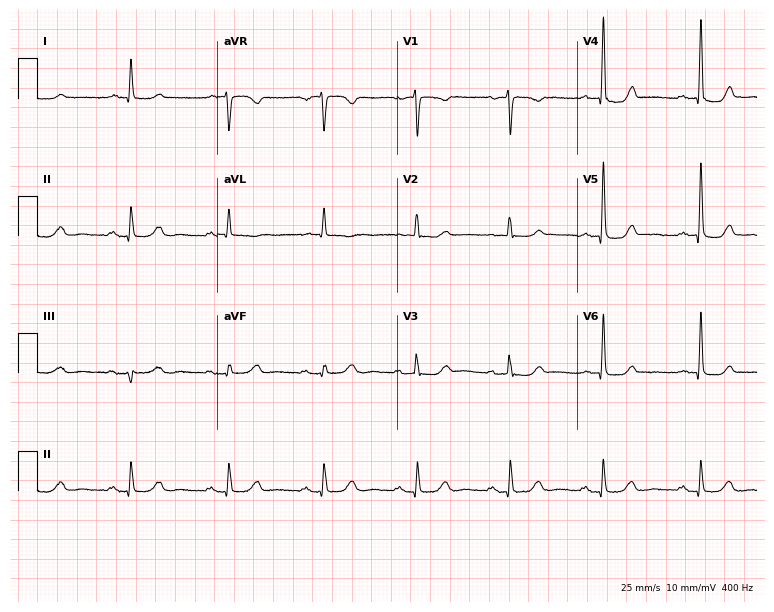
Resting 12-lead electrocardiogram (7.3-second recording at 400 Hz). Patient: a female, 66 years old. None of these six findings is recorded: first-degree AV block, right bundle branch block (RBBB), left bundle branch block (LBBB), sinus bradycardia, atrial fibrillation (AF), sinus tachycardia. Only these six findings were labelled.